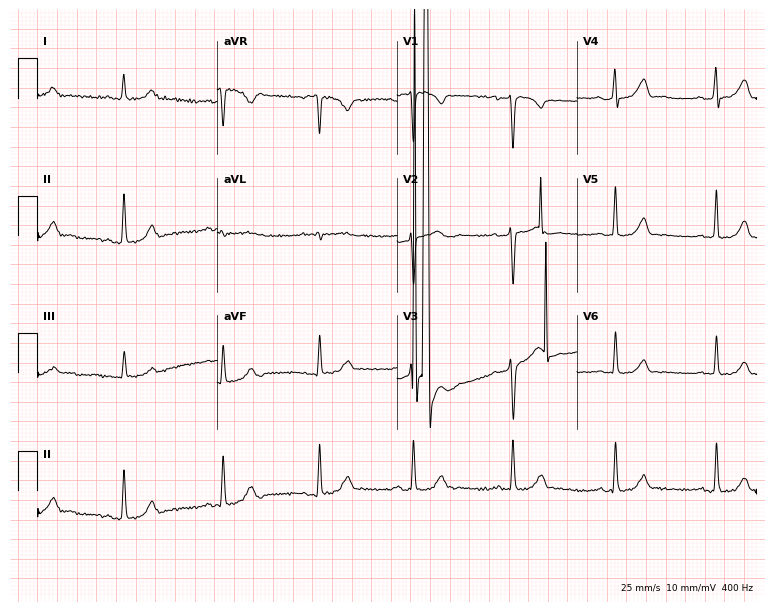
12-lead ECG from a 44-year-old woman. No first-degree AV block, right bundle branch block, left bundle branch block, sinus bradycardia, atrial fibrillation or sinus tachycardia recorded for this tracing.